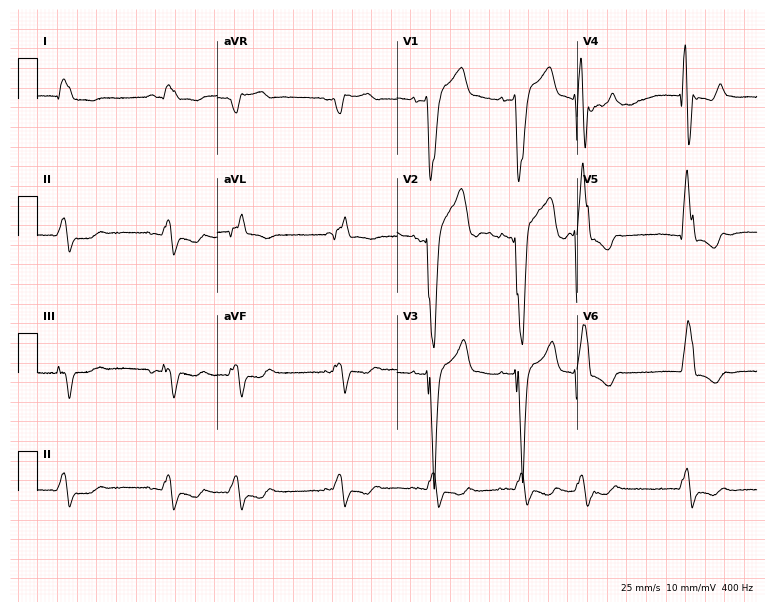
Resting 12-lead electrocardiogram. Patient: a 51-year-old male. The tracing shows left bundle branch block (LBBB), atrial fibrillation (AF).